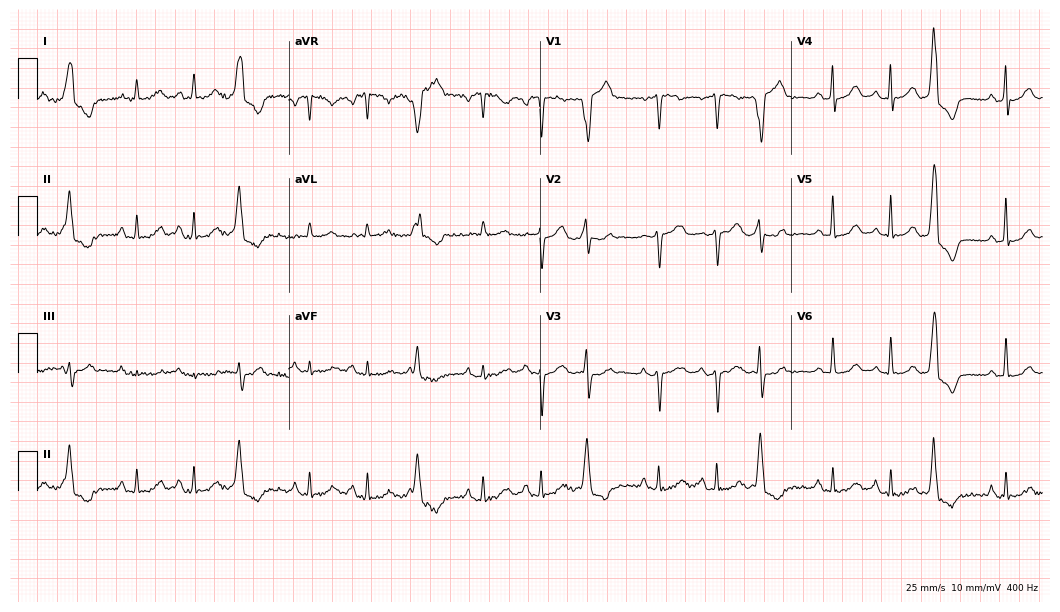
12-lead ECG from a 69-year-old man. Shows sinus tachycardia (a sinus rate of 100 beats per minute or more).